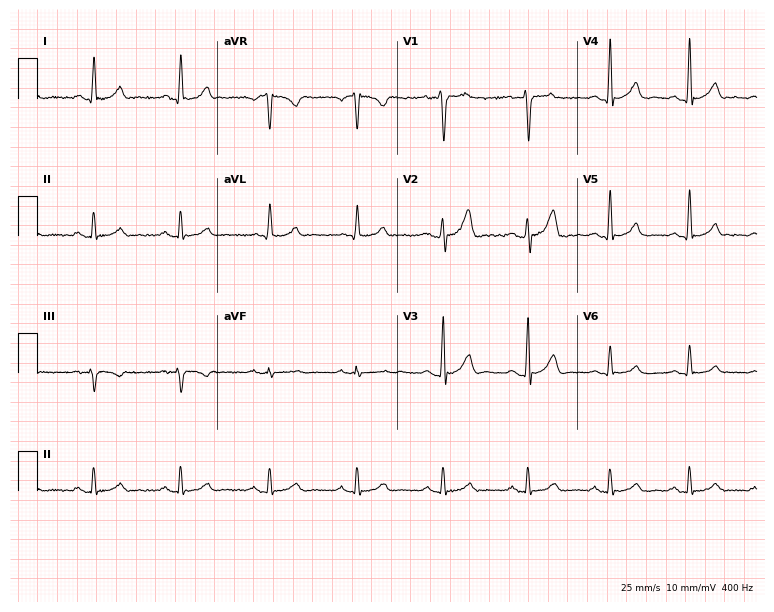
12-lead ECG (7.3-second recording at 400 Hz) from a 25-year-old man. Labelled as a normal ECG.